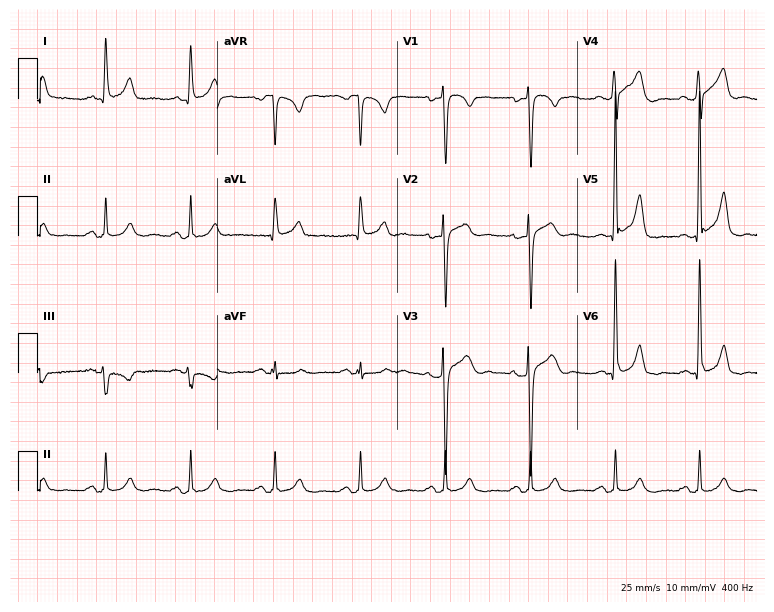
ECG (7.3-second recording at 400 Hz) — a male, 60 years old. Screened for six findings — first-degree AV block, right bundle branch block, left bundle branch block, sinus bradycardia, atrial fibrillation, sinus tachycardia — none is recorded. Findings outside these six are not listed.